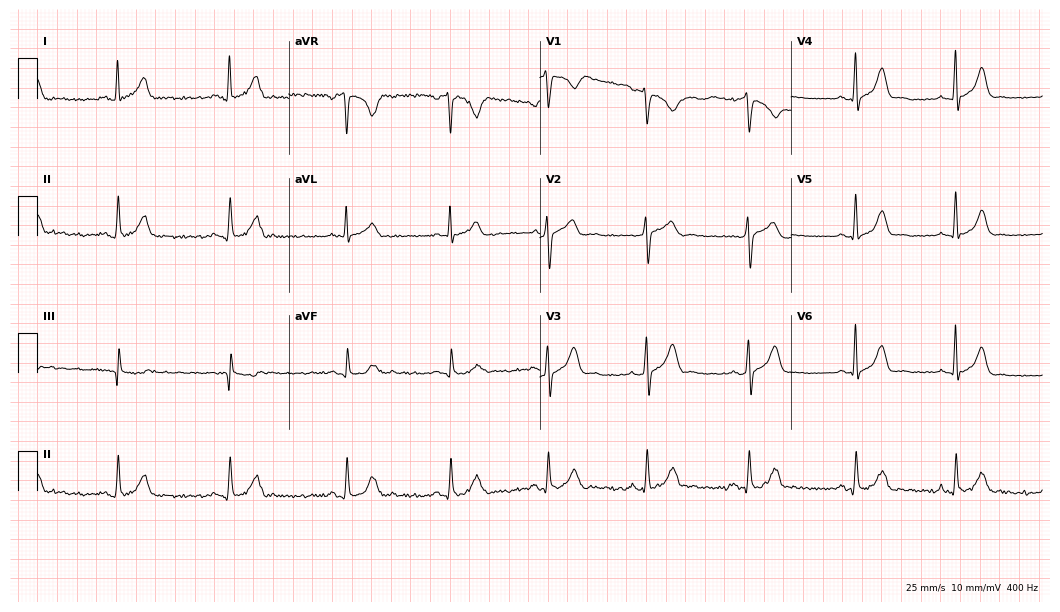
ECG — a 54-year-old female. Screened for six findings — first-degree AV block, right bundle branch block (RBBB), left bundle branch block (LBBB), sinus bradycardia, atrial fibrillation (AF), sinus tachycardia — none is recorded. Only these six findings were labelled.